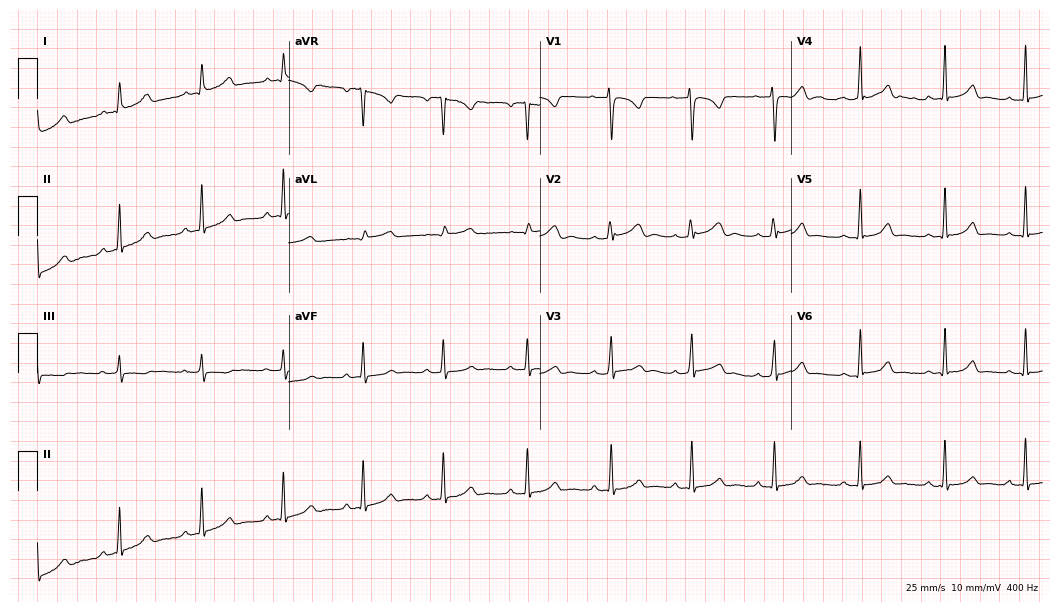
Electrocardiogram, a 23-year-old woman. Overall reading on record: normal ECG.